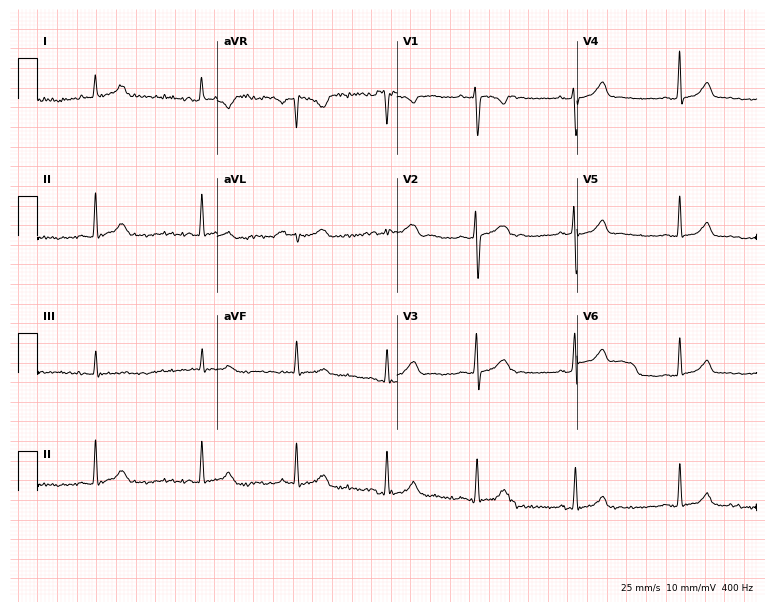
12-lead ECG (7.3-second recording at 400 Hz) from a 26-year-old female patient. Screened for six findings — first-degree AV block, right bundle branch block, left bundle branch block, sinus bradycardia, atrial fibrillation, sinus tachycardia — none is recorded. Findings outside these six are not listed.